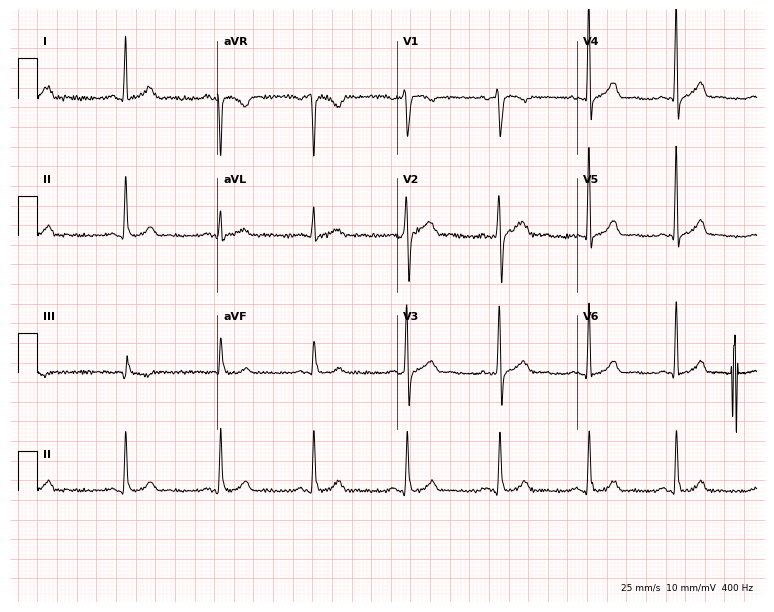
Electrocardiogram (7.3-second recording at 400 Hz), a female patient, 40 years old. Of the six screened findings (first-degree AV block, right bundle branch block, left bundle branch block, sinus bradycardia, atrial fibrillation, sinus tachycardia), none is recorded. Findings outside these six are not listed.